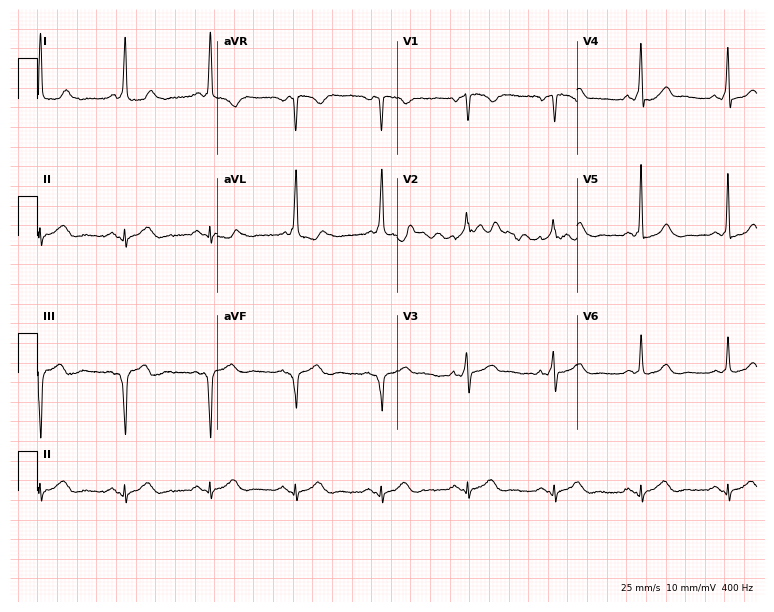
ECG (7.3-second recording at 400 Hz) — a male, 72 years old. Screened for six findings — first-degree AV block, right bundle branch block, left bundle branch block, sinus bradycardia, atrial fibrillation, sinus tachycardia — none is recorded.